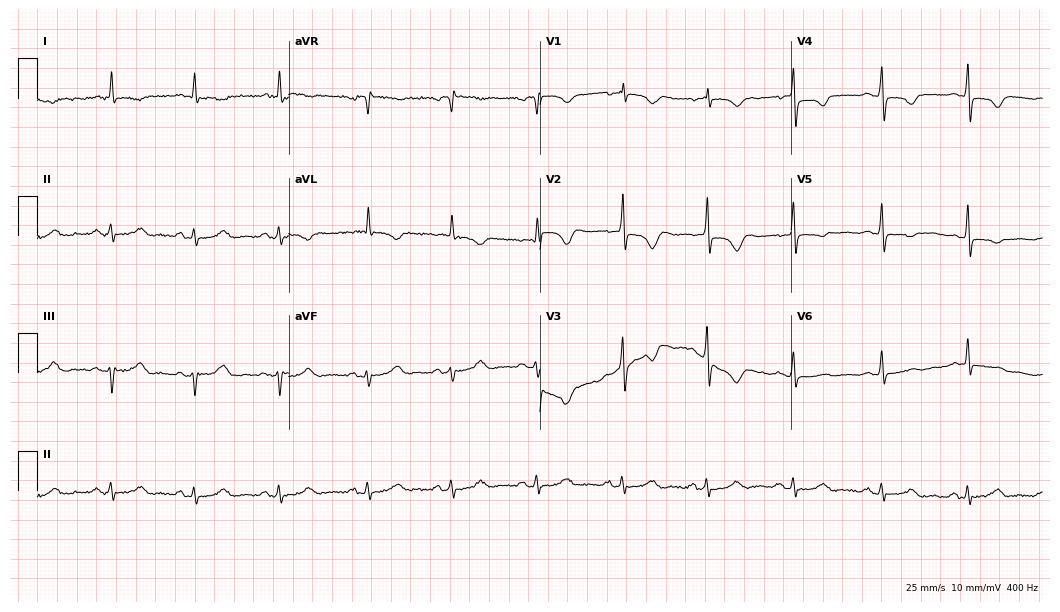
ECG (10.2-second recording at 400 Hz) — a 71-year-old female patient. Screened for six findings — first-degree AV block, right bundle branch block, left bundle branch block, sinus bradycardia, atrial fibrillation, sinus tachycardia — none is recorded.